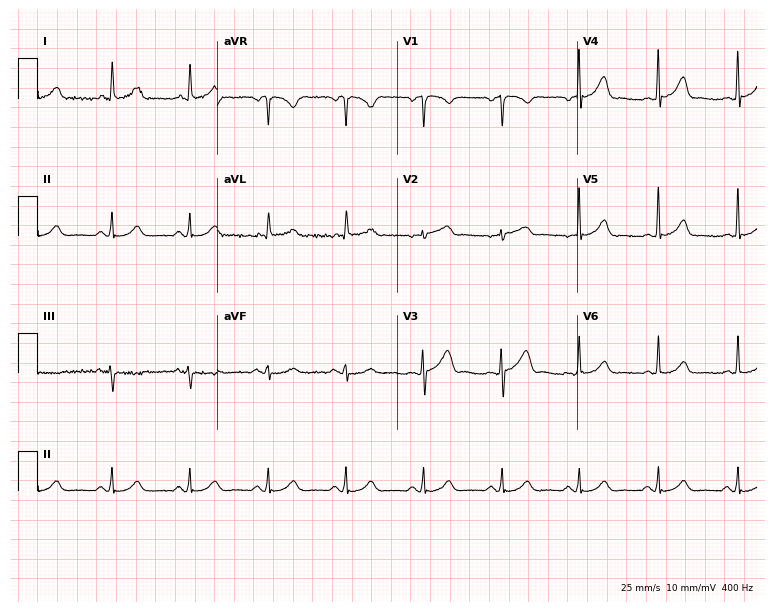
12-lead ECG from a male, 59 years old. Labelled as a normal ECG.